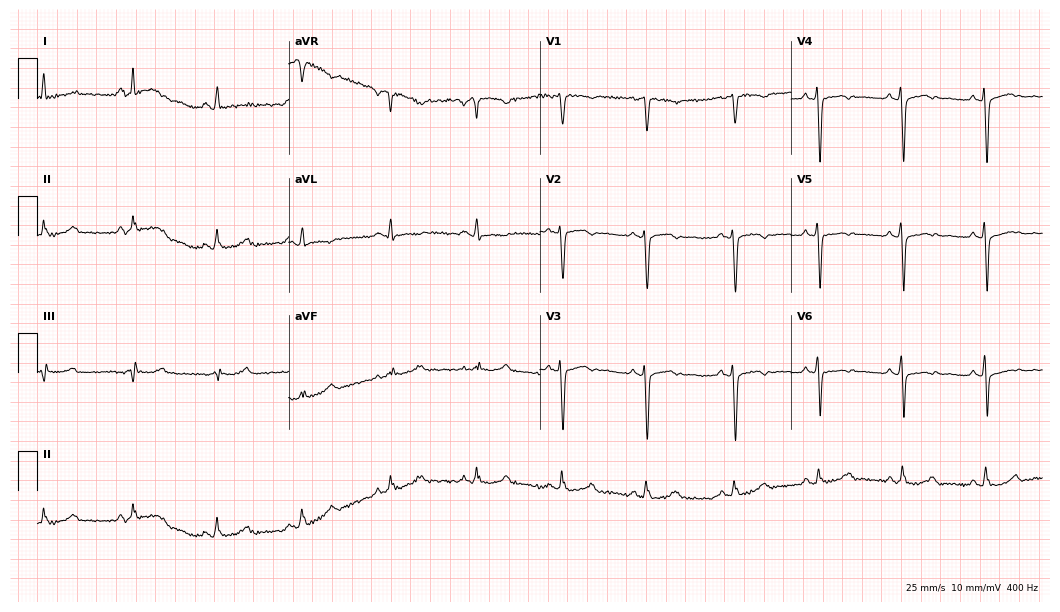
ECG — a female, 31 years old. Screened for six findings — first-degree AV block, right bundle branch block, left bundle branch block, sinus bradycardia, atrial fibrillation, sinus tachycardia — none is recorded. Other findings, if any, are not listed.